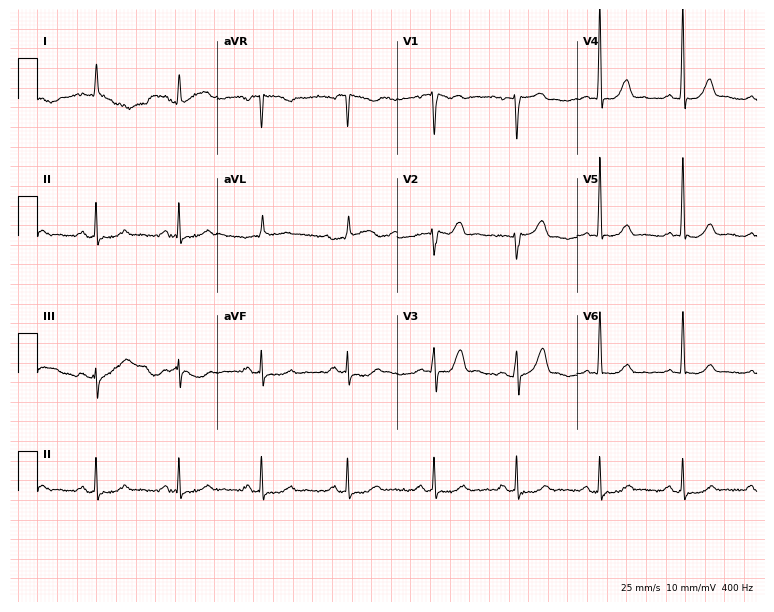
ECG (7.3-second recording at 400 Hz) — a 64-year-old woman. Screened for six findings — first-degree AV block, right bundle branch block, left bundle branch block, sinus bradycardia, atrial fibrillation, sinus tachycardia — none is recorded. Other findings, if any, are not listed.